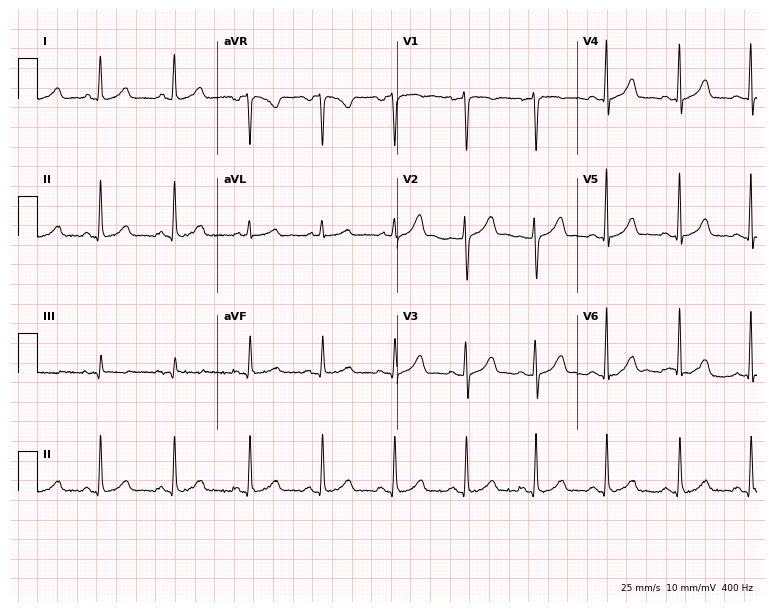
Electrocardiogram, a female patient, 36 years old. Overall reading on record: normal ECG.